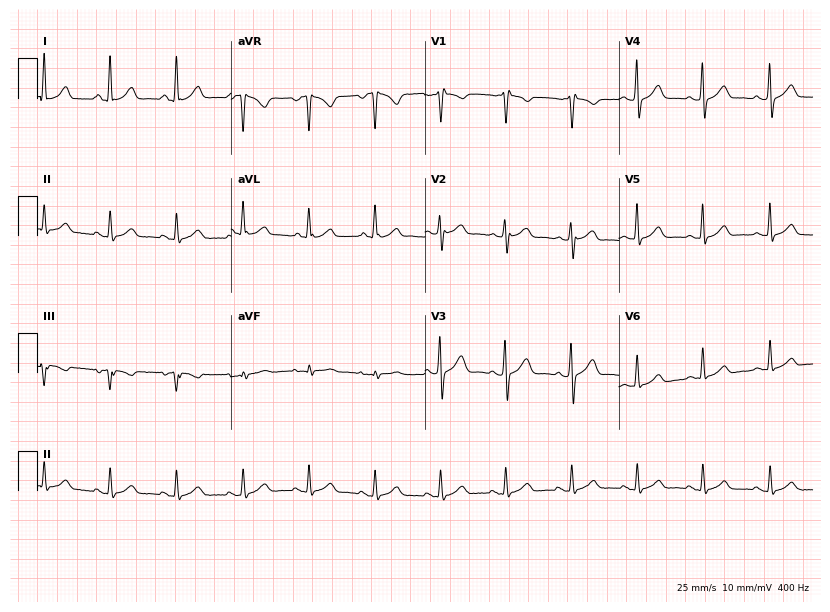
Electrocardiogram (7.9-second recording at 400 Hz), a female patient, 33 years old. Overall reading on record: normal ECG.